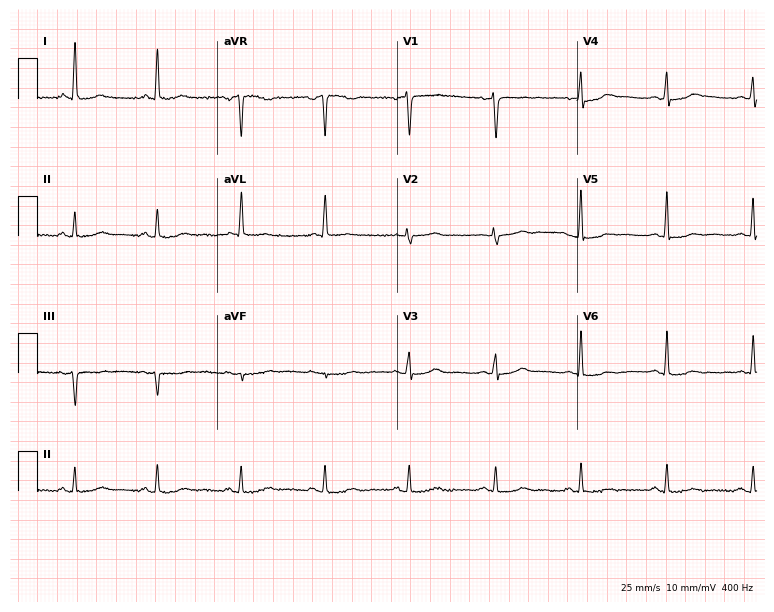
Electrocardiogram (7.3-second recording at 400 Hz), a 65-year-old female patient. Of the six screened findings (first-degree AV block, right bundle branch block, left bundle branch block, sinus bradycardia, atrial fibrillation, sinus tachycardia), none is recorded. Findings outside these six are not listed.